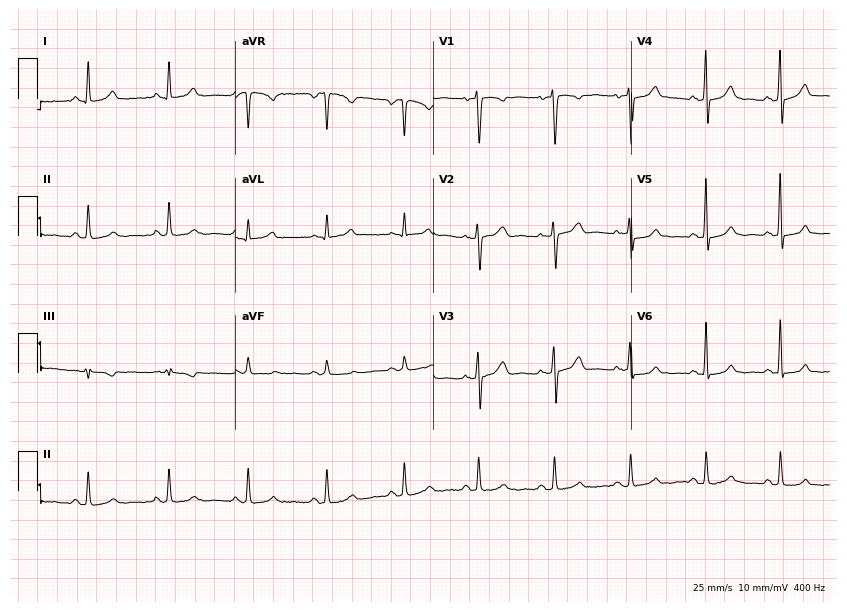
Standard 12-lead ECG recorded from a female patient, 36 years old (8.1-second recording at 400 Hz). None of these six findings is recorded: first-degree AV block, right bundle branch block (RBBB), left bundle branch block (LBBB), sinus bradycardia, atrial fibrillation (AF), sinus tachycardia. Only these six findings were labelled.